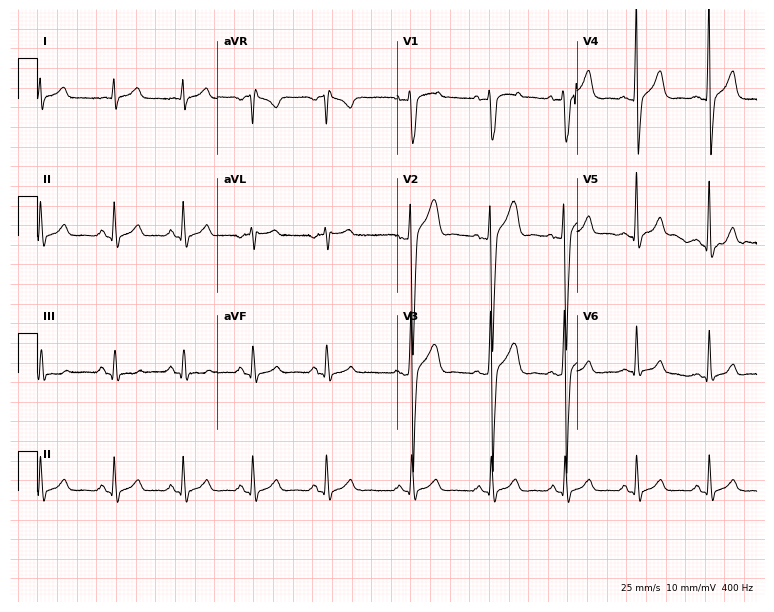
Resting 12-lead electrocardiogram (7.3-second recording at 400 Hz). Patient: a 26-year-old male. None of these six findings is recorded: first-degree AV block, right bundle branch block (RBBB), left bundle branch block (LBBB), sinus bradycardia, atrial fibrillation (AF), sinus tachycardia. Only these six findings were labelled.